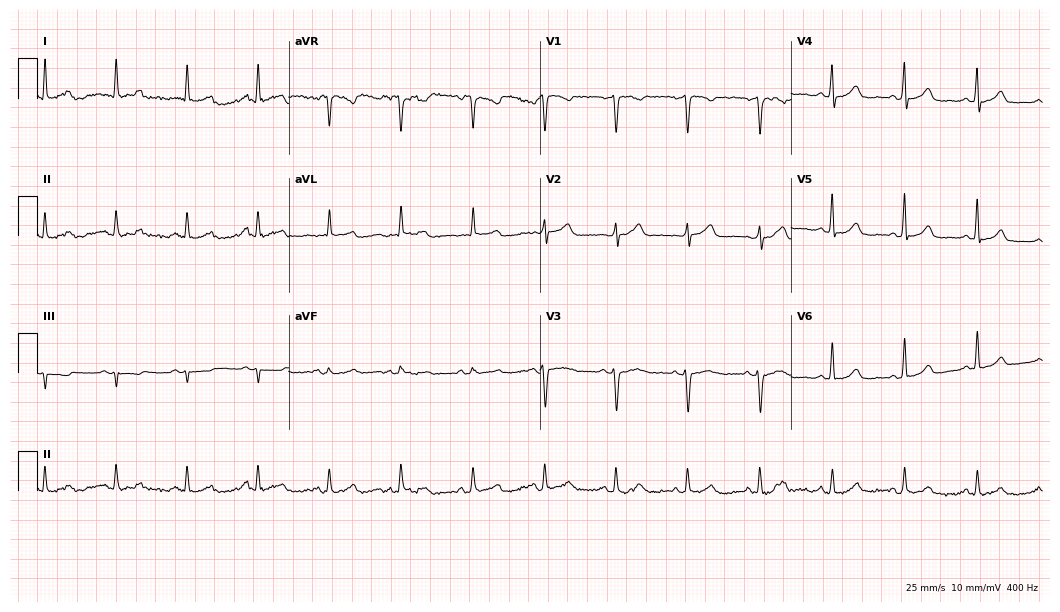
ECG (10.2-second recording at 400 Hz) — a woman, 49 years old. Labelled as a normal ECG.